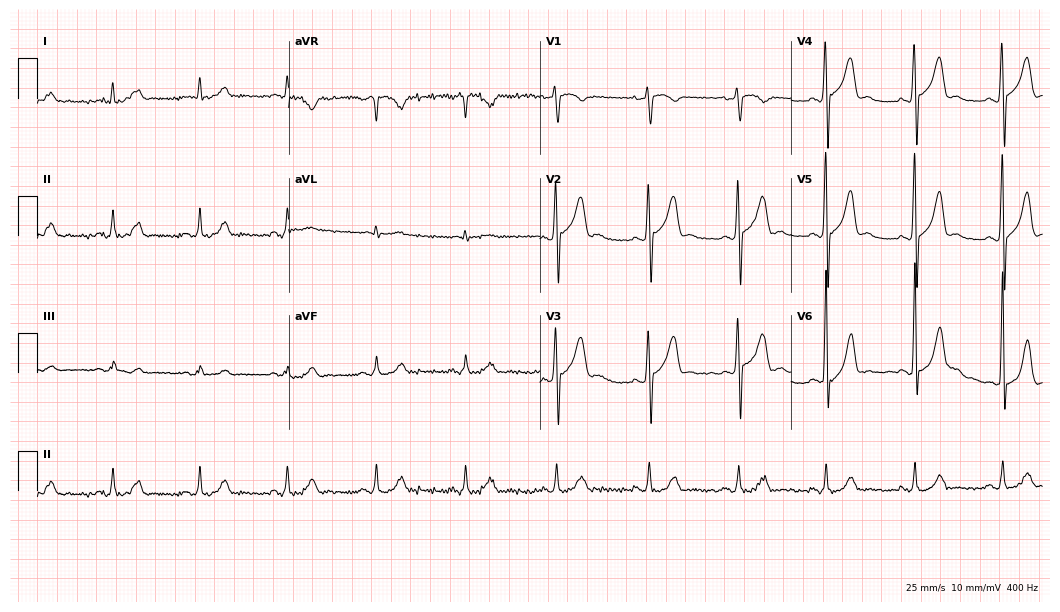
Electrocardiogram, a 46-year-old male patient. Overall reading on record: normal ECG.